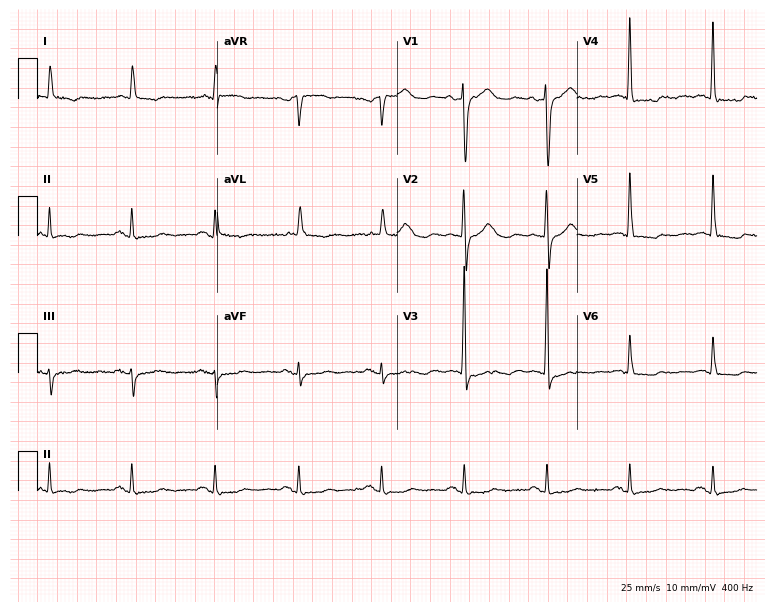
Standard 12-lead ECG recorded from a female, 84 years old (7.3-second recording at 400 Hz). Read as a normal ECG.